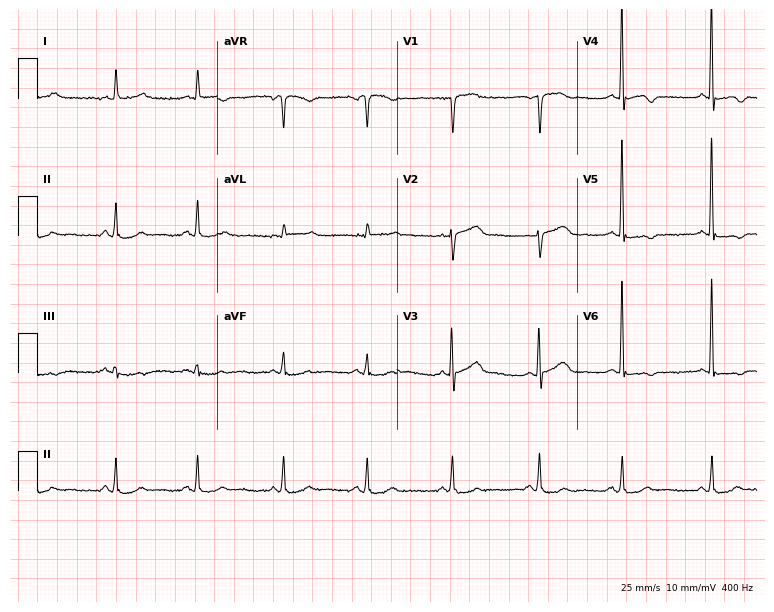
12-lead ECG from an 85-year-old man. No first-degree AV block, right bundle branch block, left bundle branch block, sinus bradycardia, atrial fibrillation or sinus tachycardia recorded for this tracing. Findings outside these six are not listed.